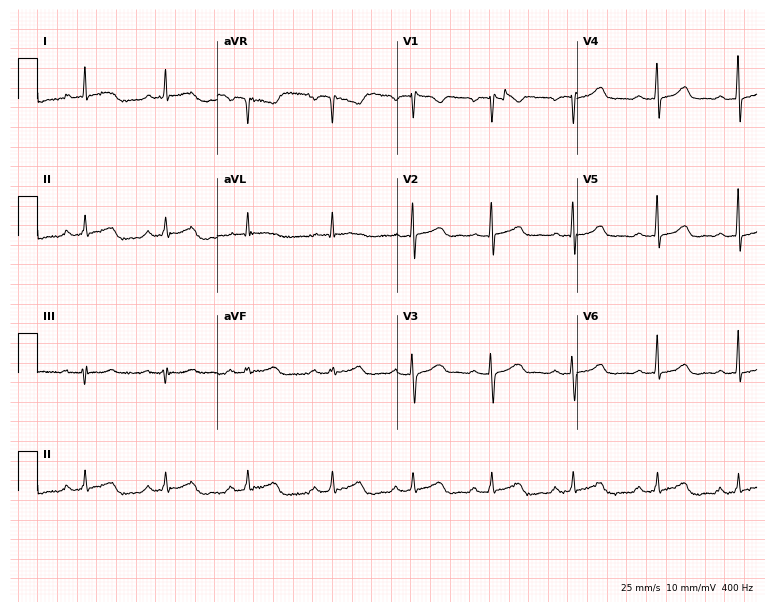
ECG — a 50-year-old woman. Labelled as a normal ECG.